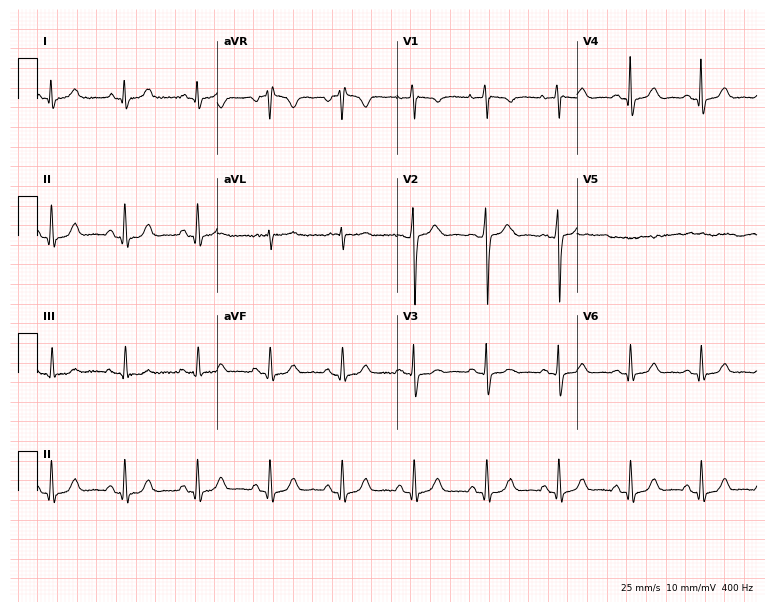
12-lead ECG from a 46-year-old male. Labelled as a normal ECG.